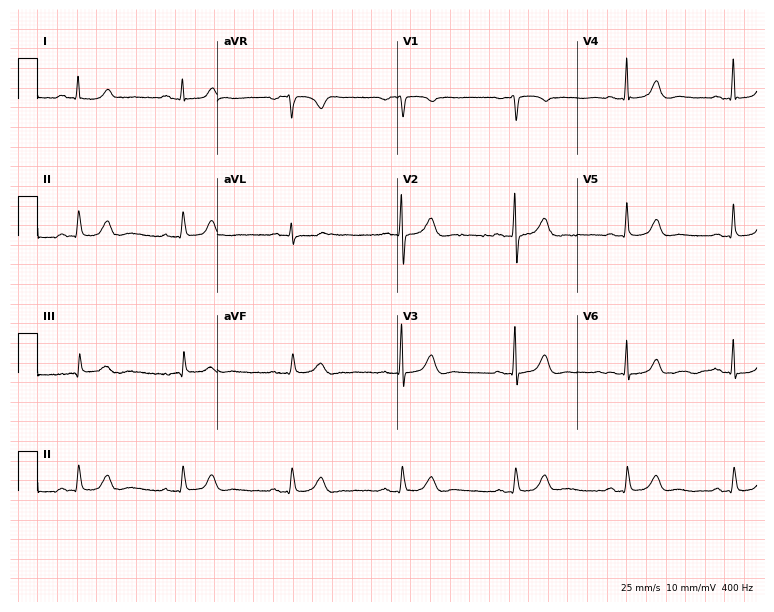
Standard 12-lead ECG recorded from a 52-year-old woman. Read as a normal ECG.